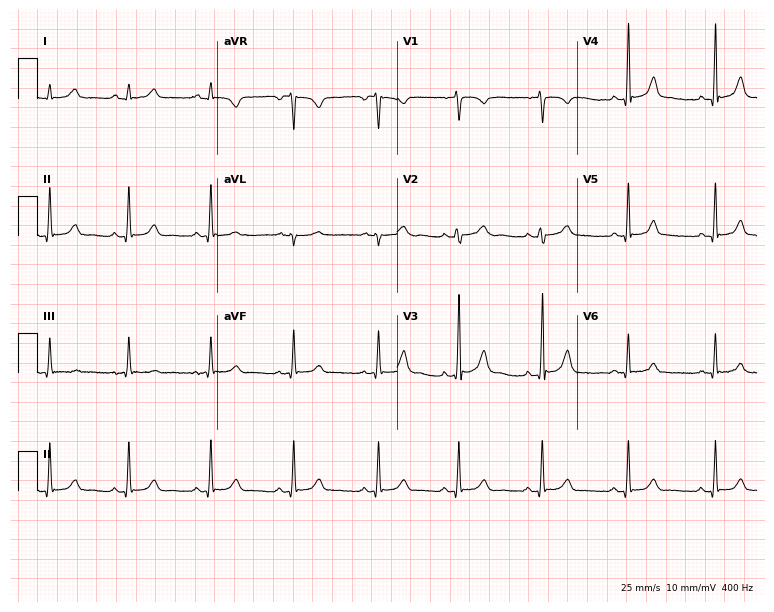
Resting 12-lead electrocardiogram. Patient: a 28-year-old female. Read as a normal ECG.